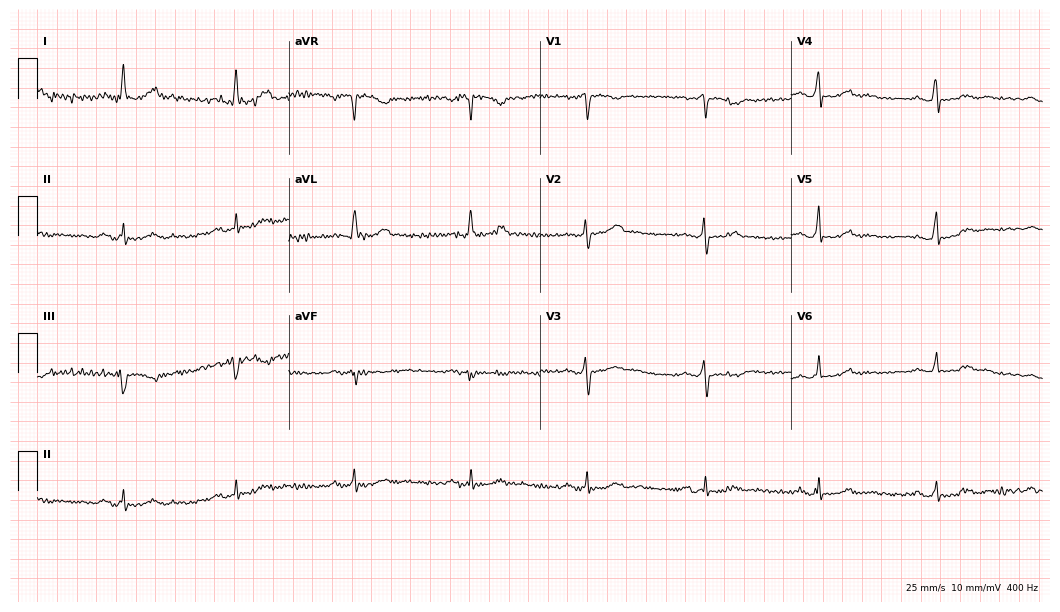
Standard 12-lead ECG recorded from a 54-year-old woman (10.2-second recording at 400 Hz). None of these six findings is recorded: first-degree AV block, right bundle branch block, left bundle branch block, sinus bradycardia, atrial fibrillation, sinus tachycardia.